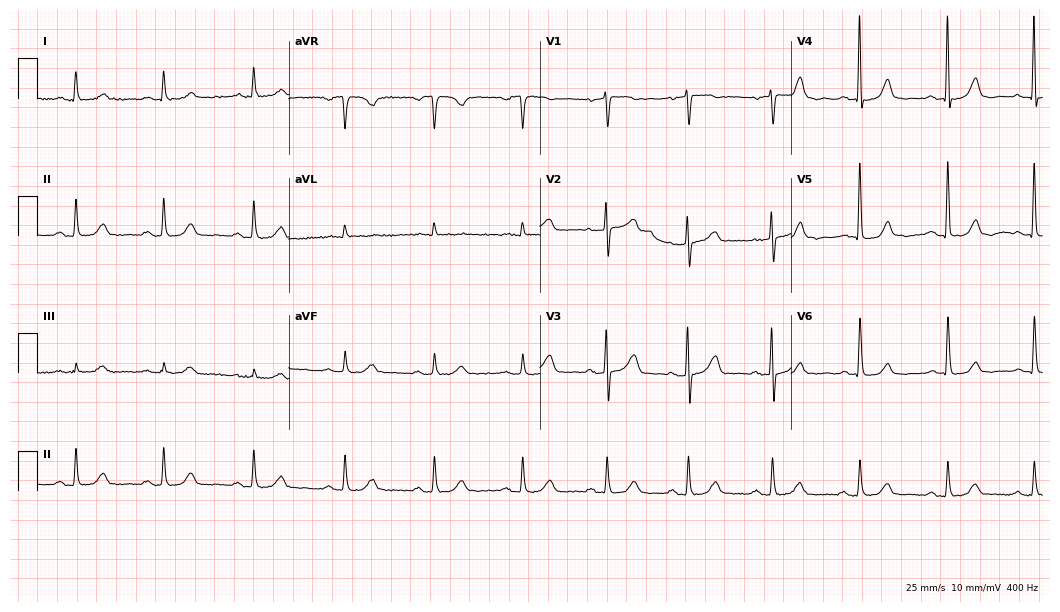
12-lead ECG from an 83-year-old male. Recorded interpretation: within normal limits.